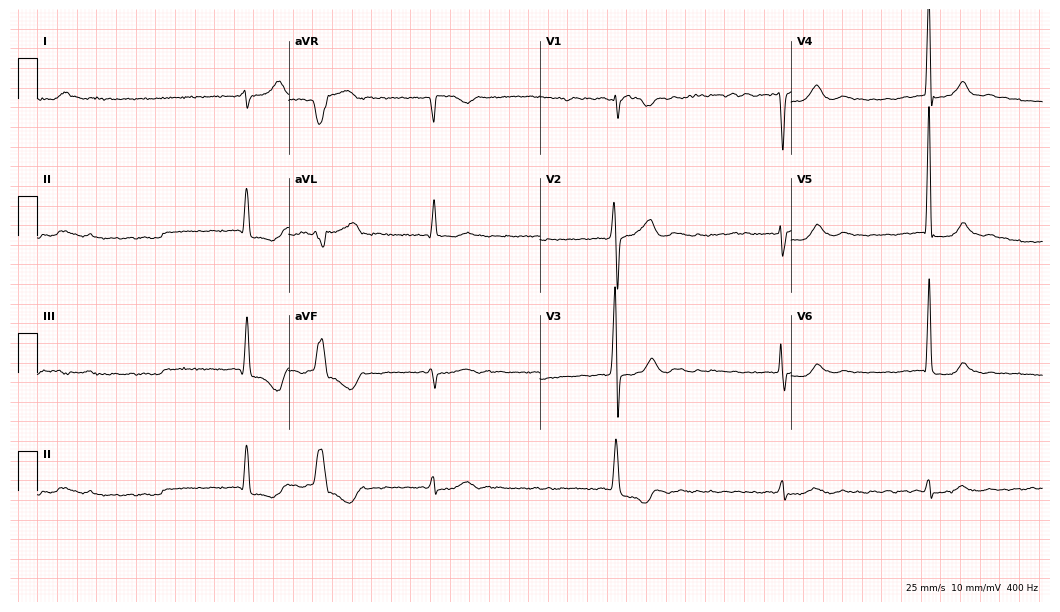
12-lead ECG from a male, 76 years old (10.2-second recording at 400 Hz). Shows atrial fibrillation (AF).